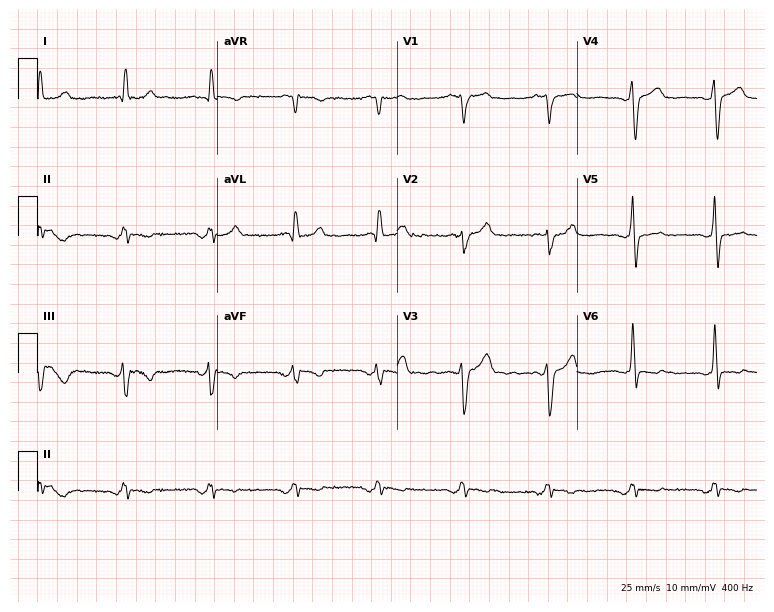
12-lead ECG from a 62-year-old male. No first-degree AV block, right bundle branch block, left bundle branch block, sinus bradycardia, atrial fibrillation or sinus tachycardia recorded for this tracing.